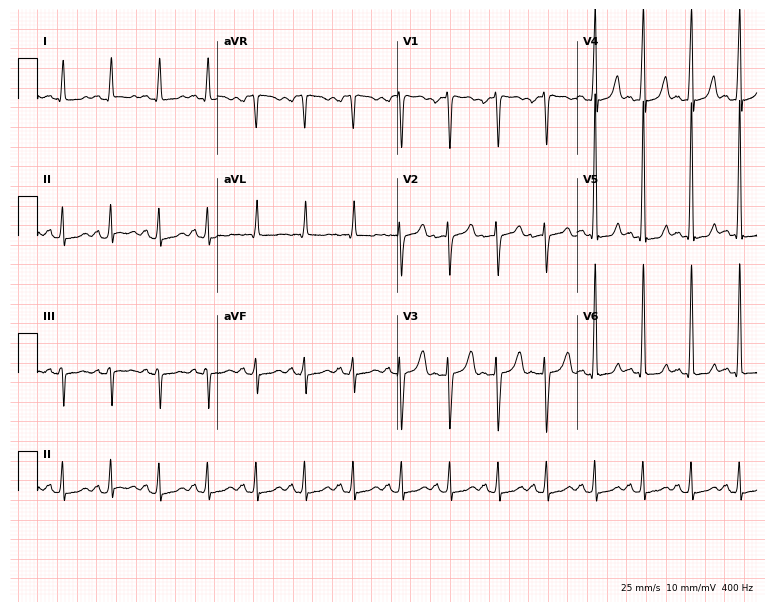
ECG — a woman, 45 years old. Findings include sinus tachycardia (a sinus rate of 100 beats per minute or more).